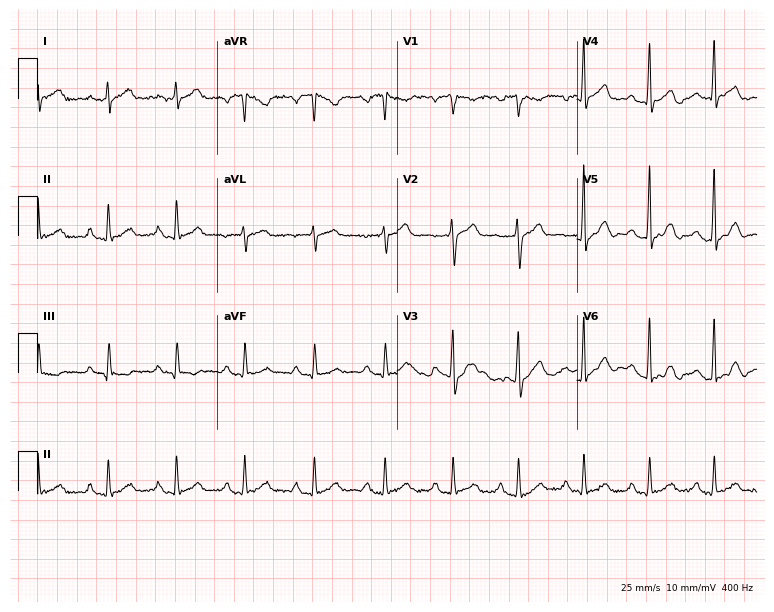
Standard 12-lead ECG recorded from a man, 62 years old (7.3-second recording at 400 Hz). Read as a normal ECG.